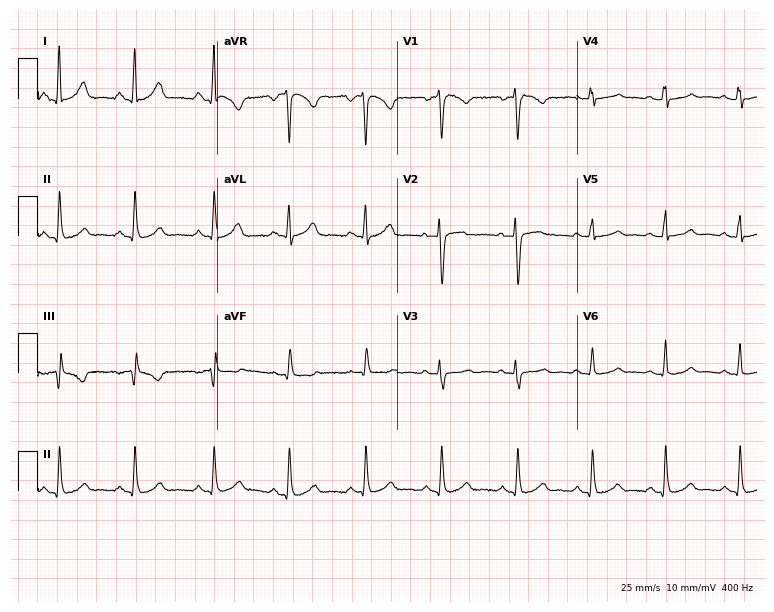
ECG (7.3-second recording at 400 Hz) — a 34-year-old female. Labelled as a normal ECG.